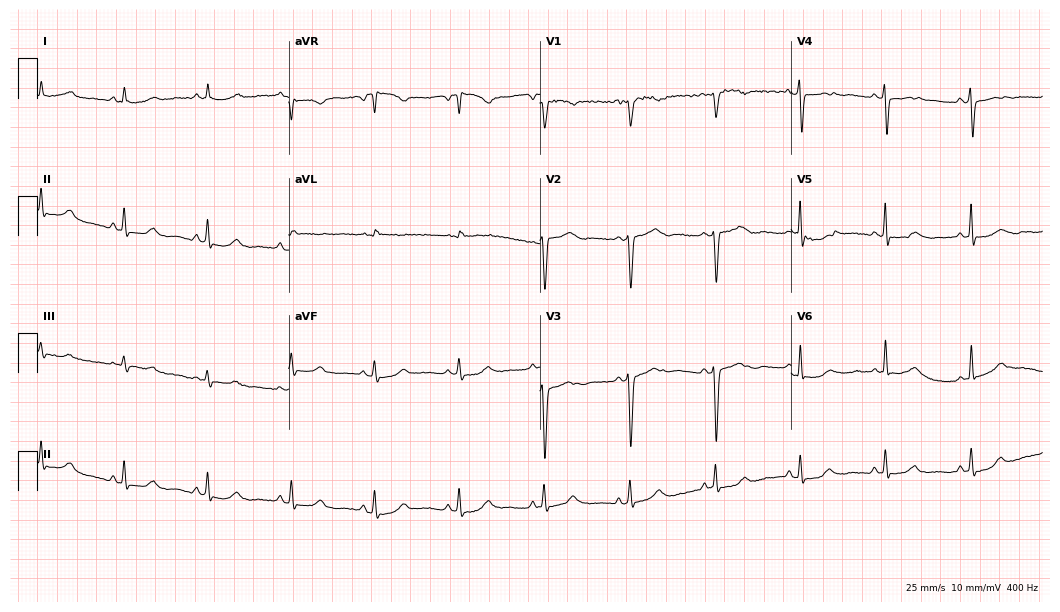
Electrocardiogram (10.2-second recording at 400 Hz), a 69-year-old woman. Of the six screened findings (first-degree AV block, right bundle branch block, left bundle branch block, sinus bradycardia, atrial fibrillation, sinus tachycardia), none is recorded. Only these six findings were labelled.